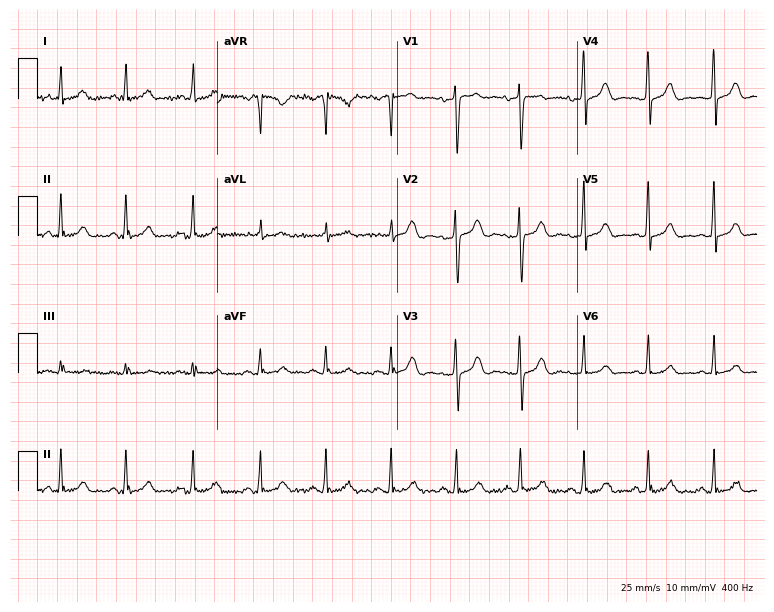
12-lead ECG from a 44-year-old woman (7.3-second recording at 400 Hz). No first-degree AV block, right bundle branch block (RBBB), left bundle branch block (LBBB), sinus bradycardia, atrial fibrillation (AF) or sinus tachycardia recorded for this tracing.